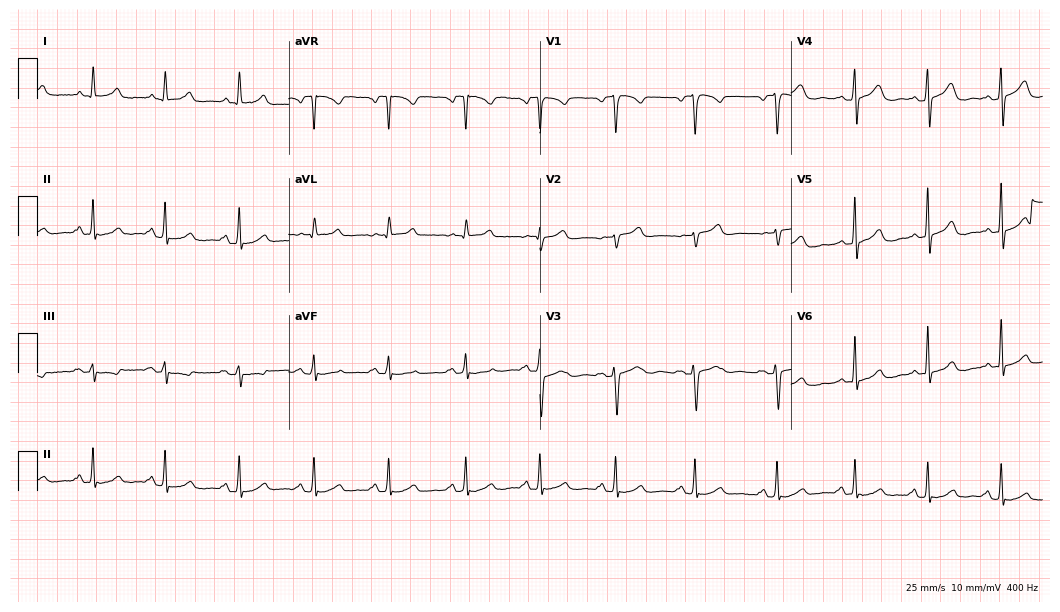
12-lead ECG from a woman, 43 years old. Labelled as a normal ECG.